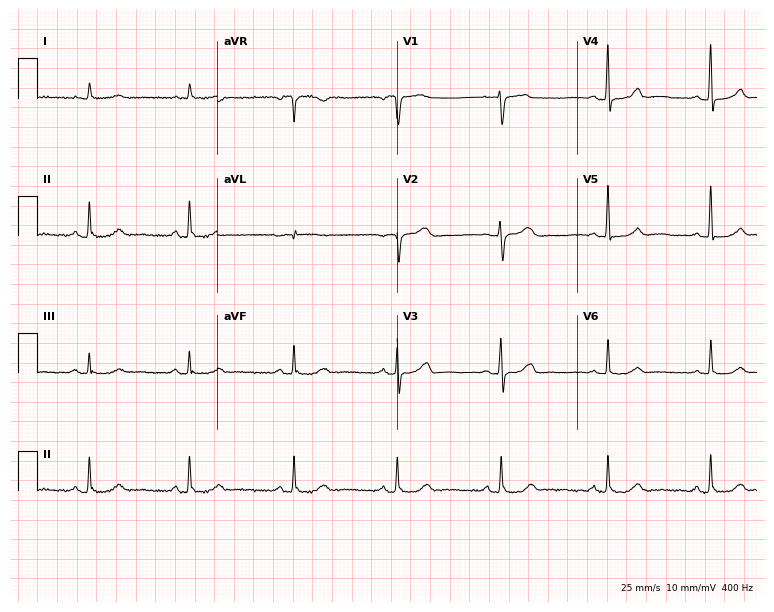
Standard 12-lead ECG recorded from a 64-year-old female (7.3-second recording at 400 Hz). None of these six findings is recorded: first-degree AV block, right bundle branch block (RBBB), left bundle branch block (LBBB), sinus bradycardia, atrial fibrillation (AF), sinus tachycardia. Other findings, if any, are not listed.